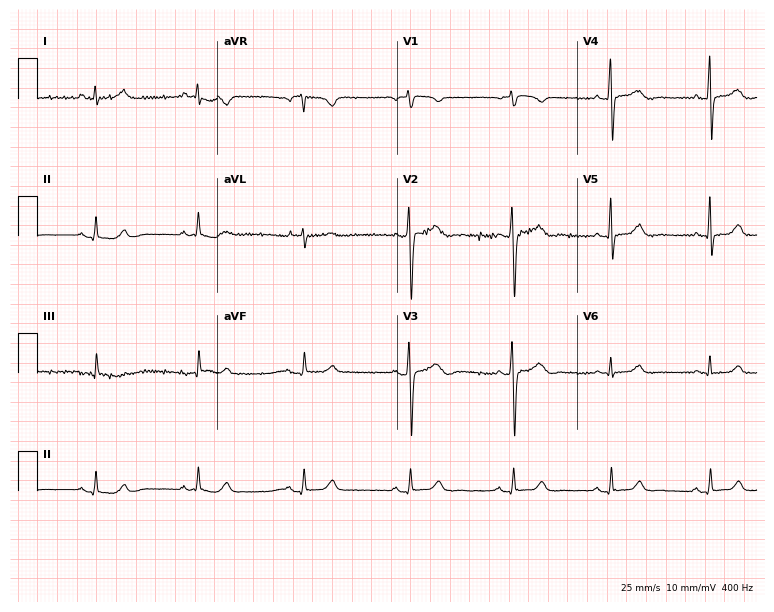
Resting 12-lead electrocardiogram (7.3-second recording at 400 Hz). Patient: a 50-year-old female. Read as a normal ECG.